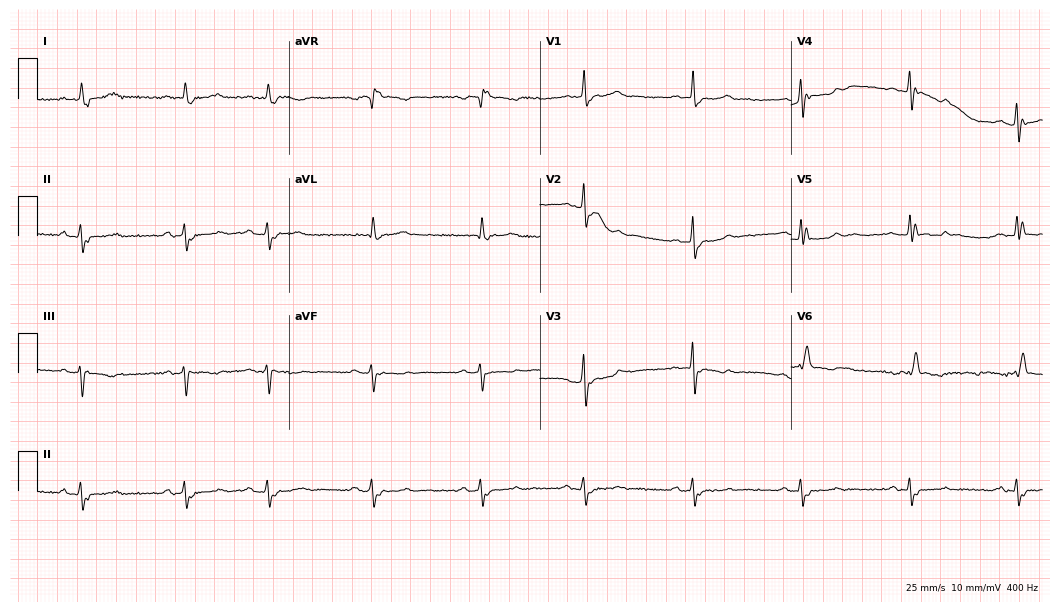
Resting 12-lead electrocardiogram. Patient: a man, 75 years old. None of these six findings is recorded: first-degree AV block, right bundle branch block (RBBB), left bundle branch block (LBBB), sinus bradycardia, atrial fibrillation (AF), sinus tachycardia.